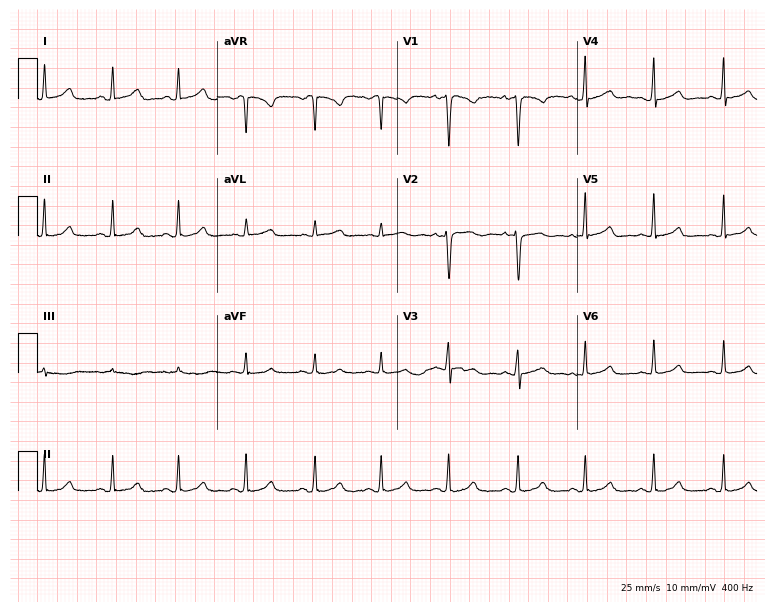
12-lead ECG from a 23-year-old female patient (7.3-second recording at 400 Hz). Recorded interpretation: within normal limits.